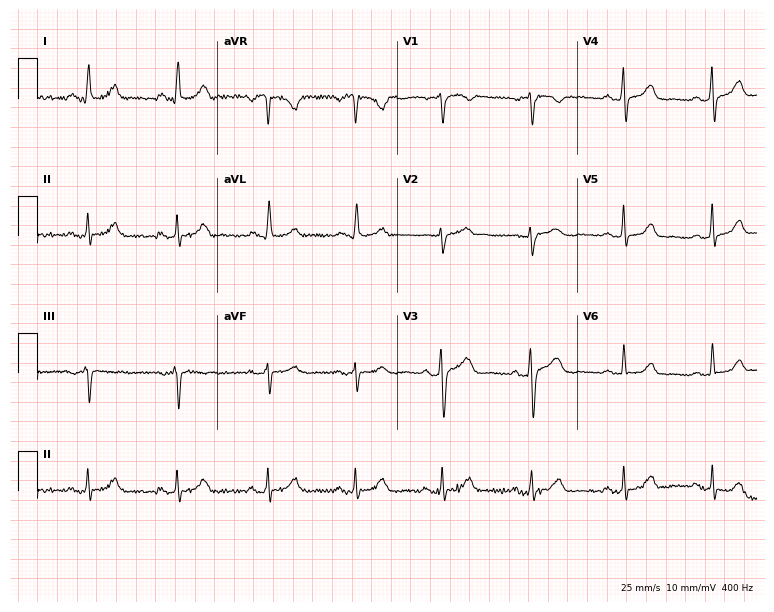
12-lead ECG from a 58-year-old female. Recorded interpretation: within normal limits.